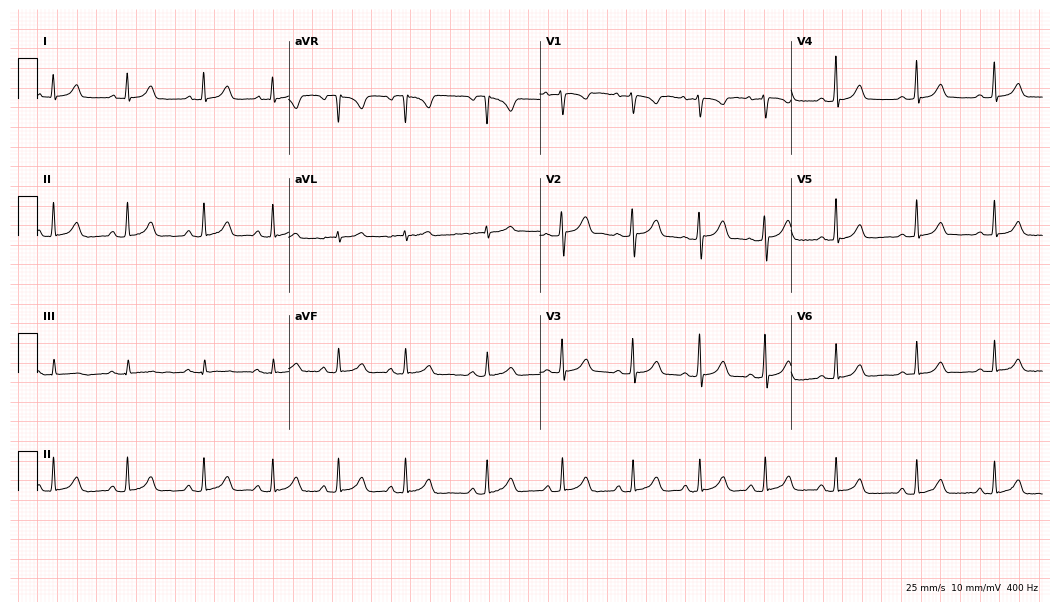
Resting 12-lead electrocardiogram (10.2-second recording at 400 Hz). Patient: a 21-year-old female. None of these six findings is recorded: first-degree AV block, right bundle branch block, left bundle branch block, sinus bradycardia, atrial fibrillation, sinus tachycardia. Findings outside these six are not listed.